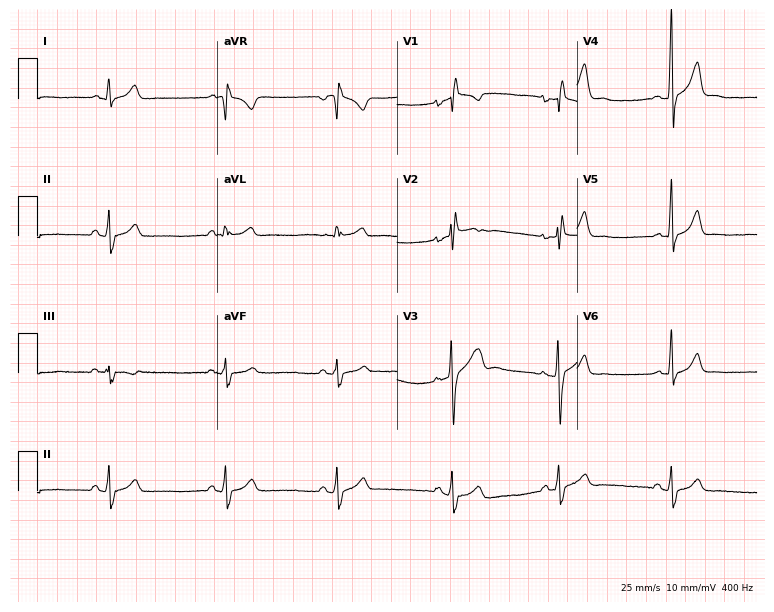
ECG (7.3-second recording at 400 Hz) — a male, 22 years old. Screened for six findings — first-degree AV block, right bundle branch block, left bundle branch block, sinus bradycardia, atrial fibrillation, sinus tachycardia — none is recorded. Only these six findings were labelled.